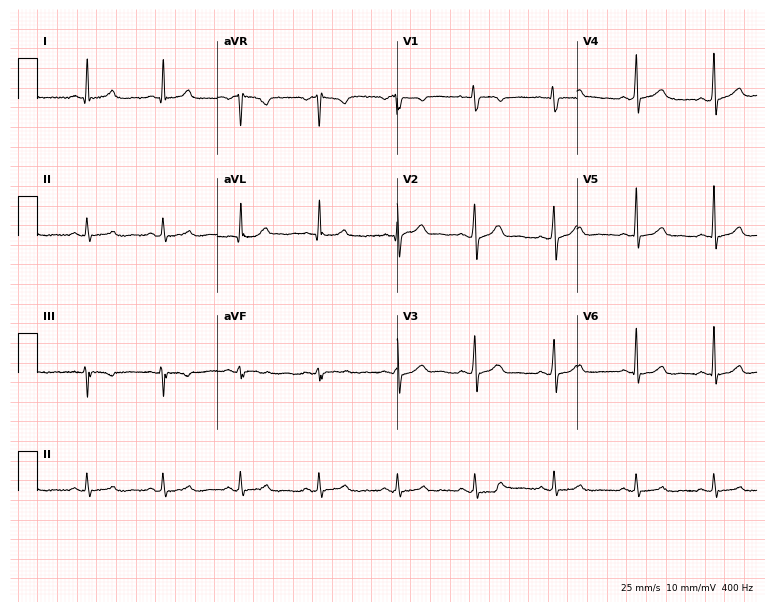
Electrocardiogram, a woman, 35 years old. Of the six screened findings (first-degree AV block, right bundle branch block (RBBB), left bundle branch block (LBBB), sinus bradycardia, atrial fibrillation (AF), sinus tachycardia), none is recorded. Other findings, if any, are not listed.